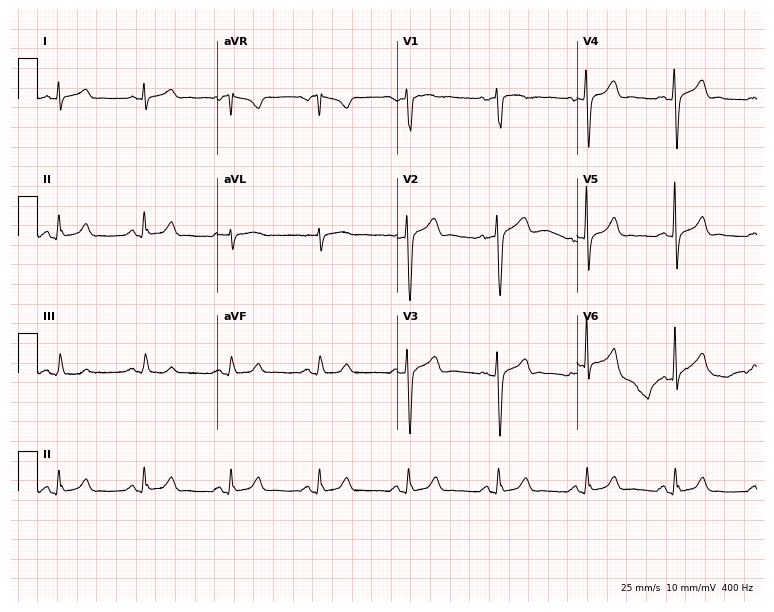
12-lead ECG from a 45-year-old male. Recorded interpretation: within normal limits.